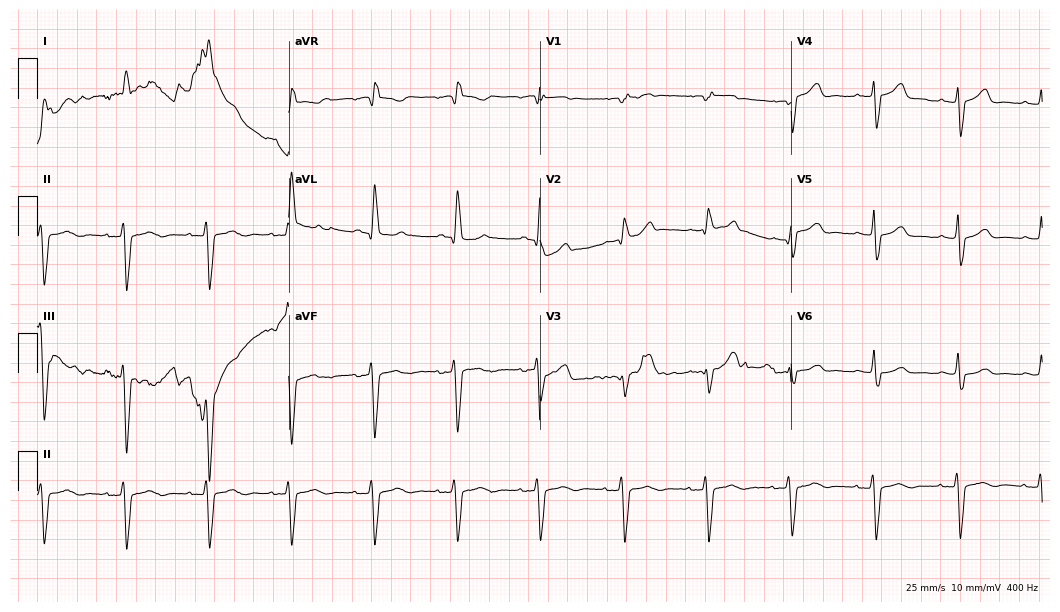
12-lead ECG from a man, 73 years old. Screened for six findings — first-degree AV block, right bundle branch block, left bundle branch block, sinus bradycardia, atrial fibrillation, sinus tachycardia — none is recorded.